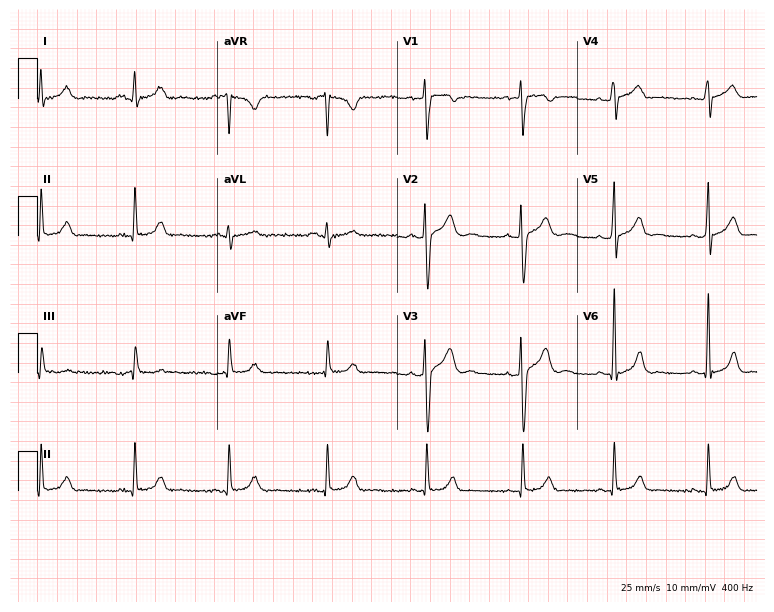
Standard 12-lead ECG recorded from a male patient, 31 years old. Read as a normal ECG.